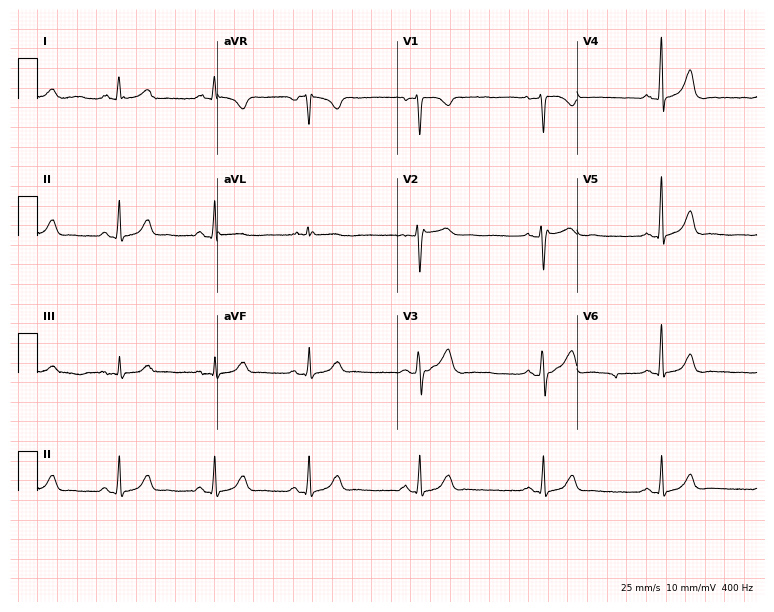
ECG — a female patient, 36 years old. Screened for six findings — first-degree AV block, right bundle branch block, left bundle branch block, sinus bradycardia, atrial fibrillation, sinus tachycardia — none is recorded. Findings outside these six are not listed.